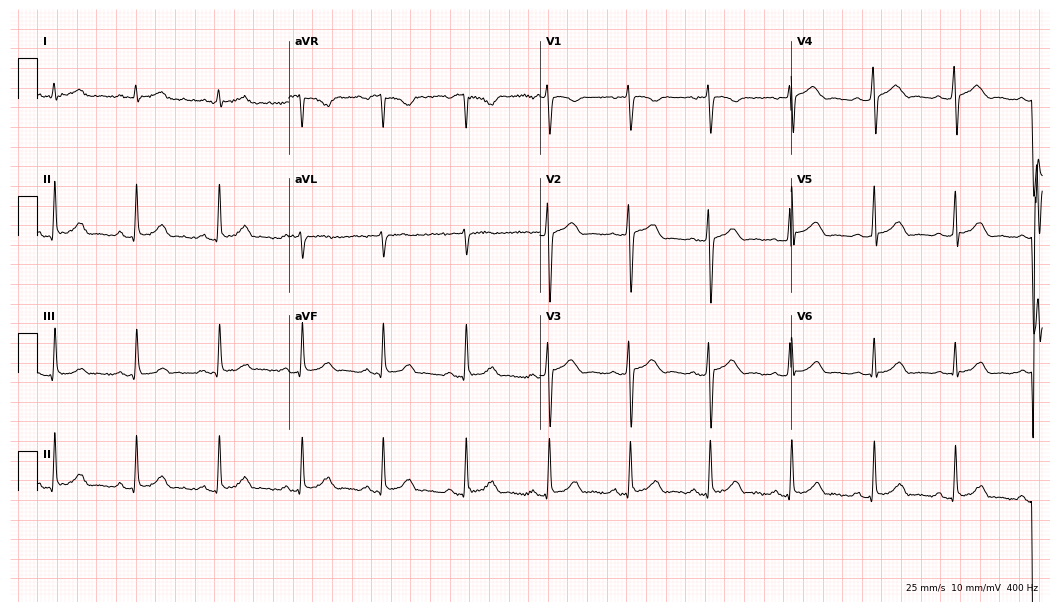
12-lead ECG from a 33-year-old woman. No first-degree AV block, right bundle branch block (RBBB), left bundle branch block (LBBB), sinus bradycardia, atrial fibrillation (AF) or sinus tachycardia recorded for this tracing. Only these six findings were labelled.